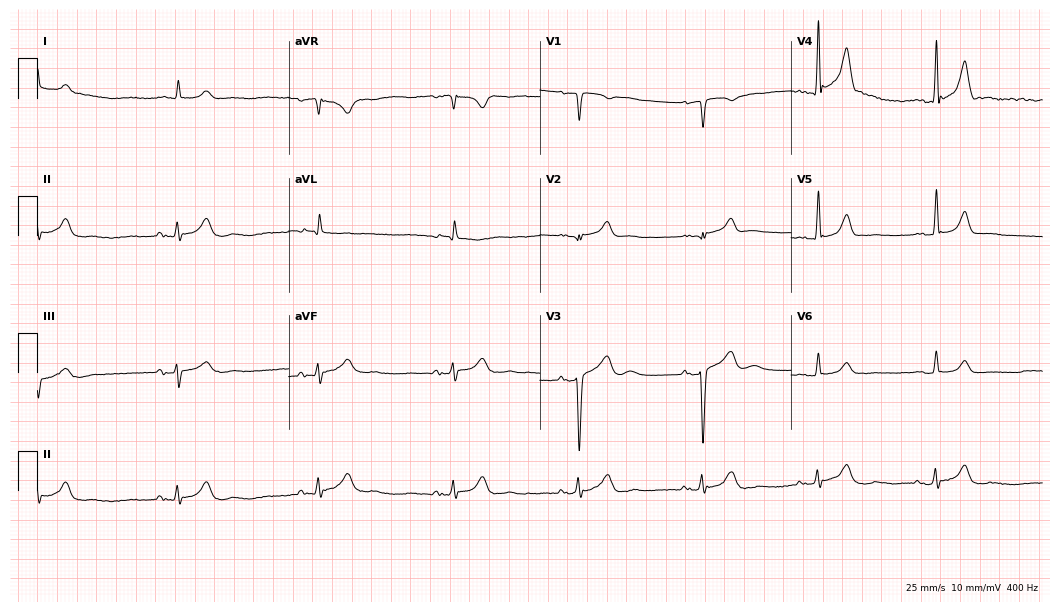
12-lead ECG from a 75-year-old male patient (10.2-second recording at 400 Hz). Shows sinus bradycardia (a sinus rate of 50 beats per minute or less).